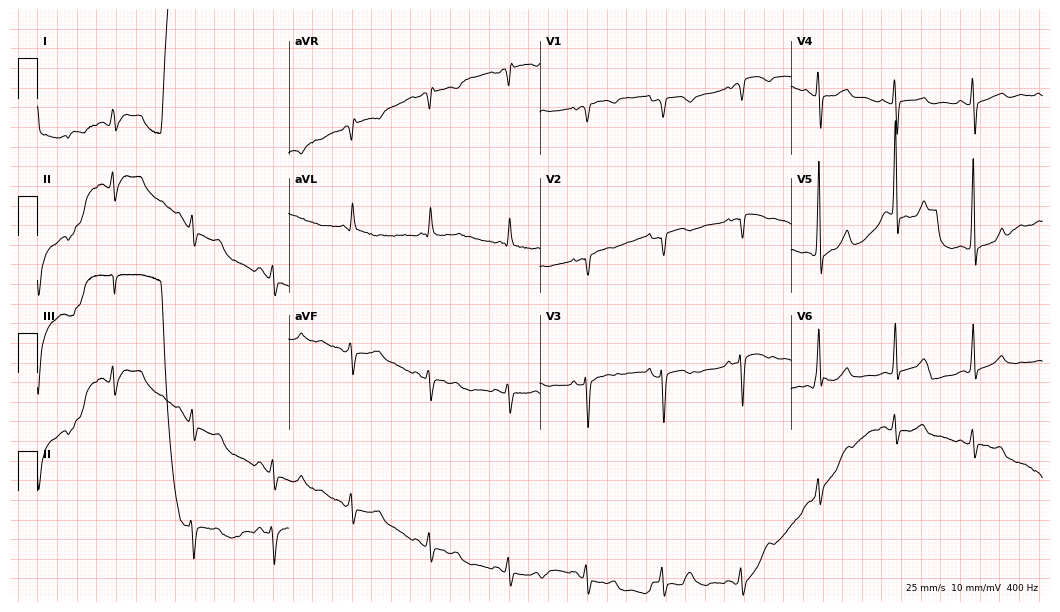
Resting 12-lead electrocardiogram (10.2-second recording at 400 Hz). Patient: a 70-year-old woman. None of these six findings is recorded: first-degree AV block, right bundle branch block, left bundle branch block, sinus bradycardia, atrial fibrillation, sinus tachycardia.